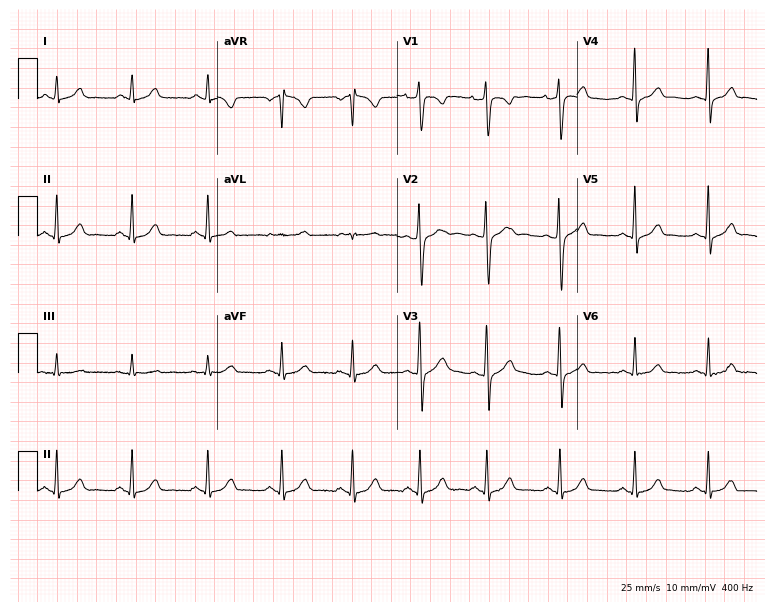
ECG (7.3-second recording at 400 Hz) — a 31-year-old female patient. Screened for six findings — first-degree AV block, right bundle branch block (RBBB), left bundle branch block (LBBB), sinus bradycardia, atrial fibrillation (AF), sinus tachycardia — none is recorded. Findings outside these six are not listed.